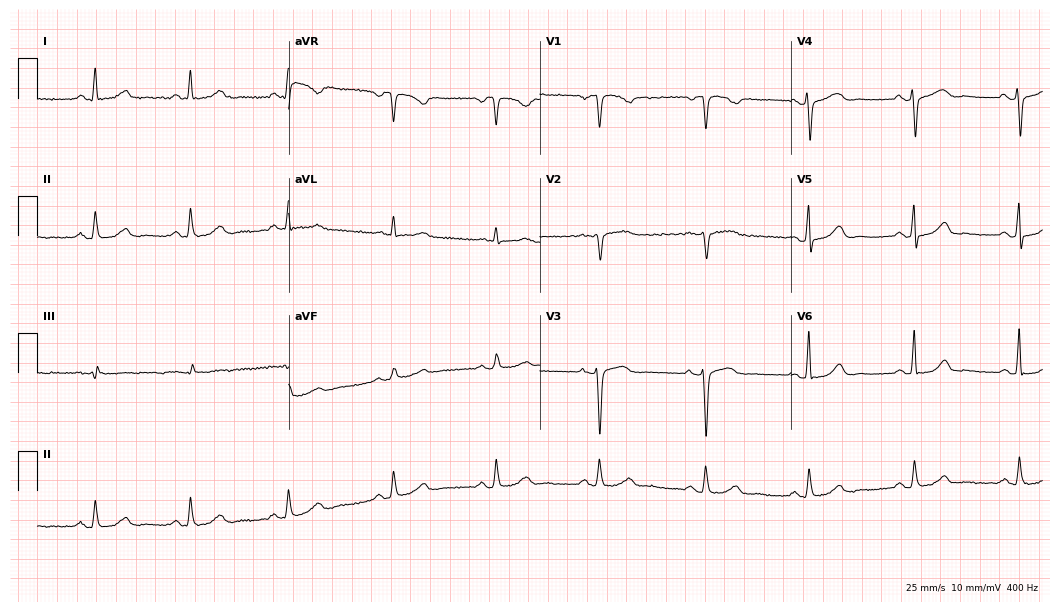
Resting 12-lead electrocardiogram (10.2-second recording at 400 Hz). Patient: a female, 52 years old. Read as a normal ECG.